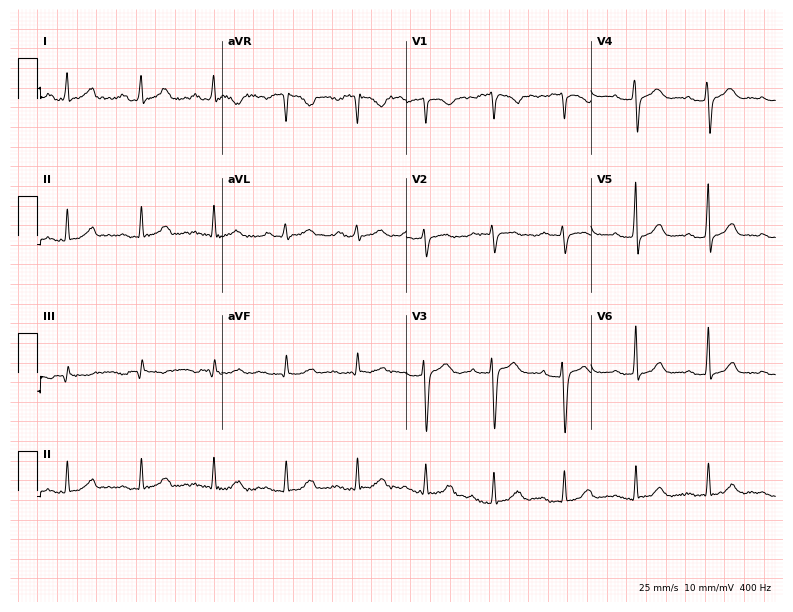
ECG — a 35-year-old female patient. Screened for six findings — first-degree AV block, right bundle branch block, left bundle branch block, sinus bradycardia, atrial fibrillation, sinus tachycardia — none is recorded. Other findings, if any, are not listed.